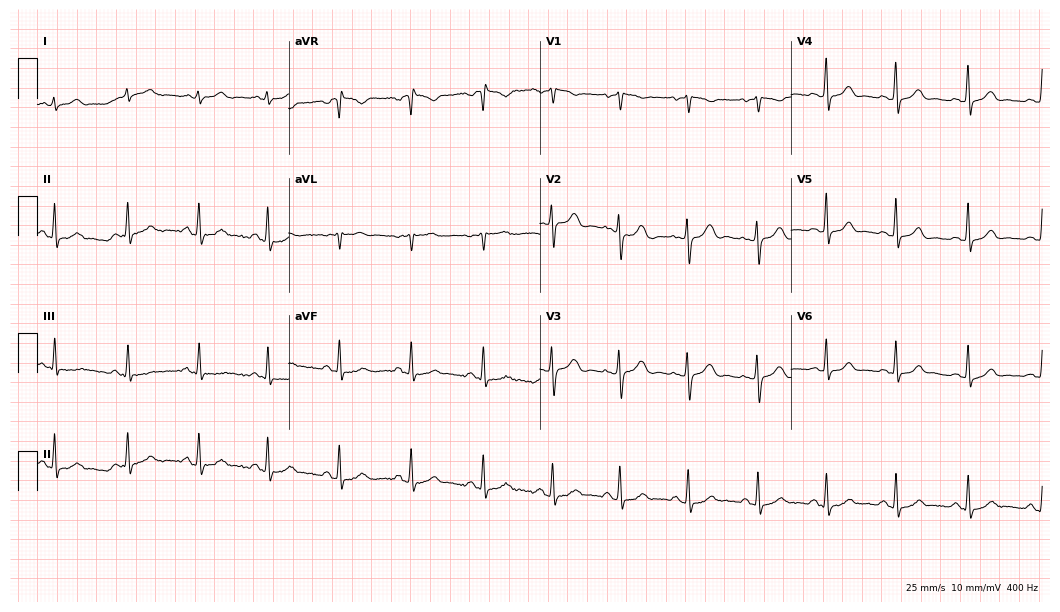
ECG — a female patient, 22 years old. Labelled as a normal ECG.